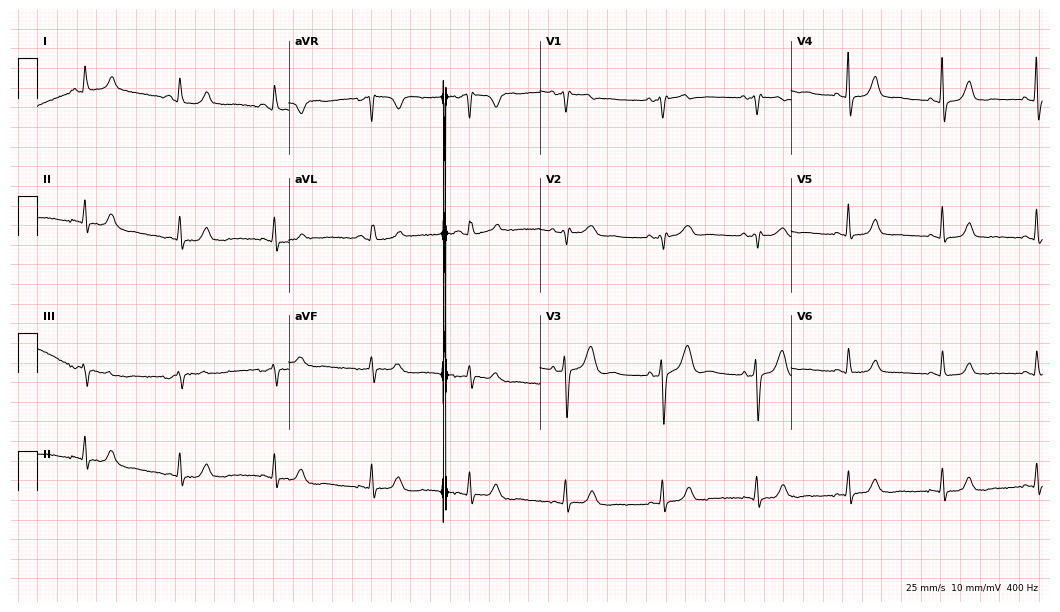
Electrocardiogram (10.2-second recording at 400 Hz), a 57-year-old female. Of the six screened findings (first-degree AV block, right bundle branch block, left bundle branch block, sinus bradycardia, atrial fibrillation, sinus tachycardia), none is recorded.